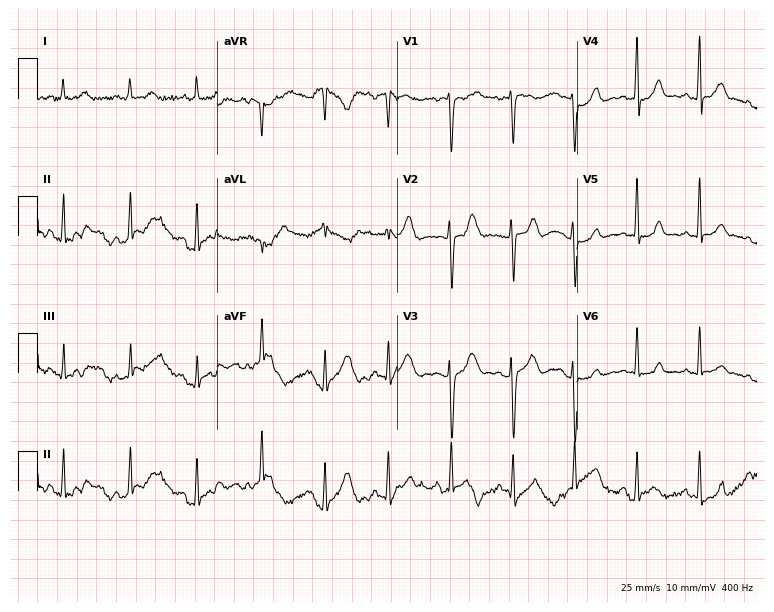
ECG — a 22-year-old woman. Labelled as a normal ECG.